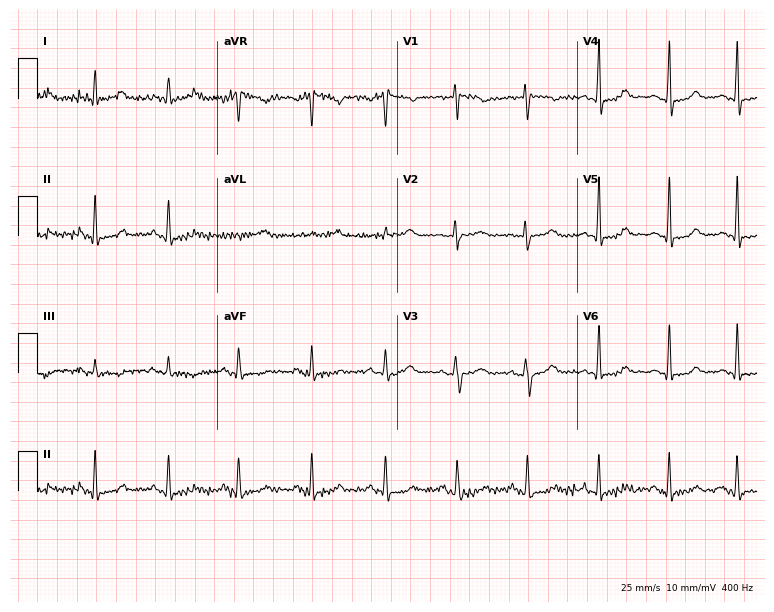
Electrocardiogram, a female patient, 48 years old. Of the six screened findings (first-degree AV block, right bundle branch block, left bundle branch block, sinus bradycardia, atrial fibrillation, sinus tachycardia), none is recorded. Only these six findings were labelled.